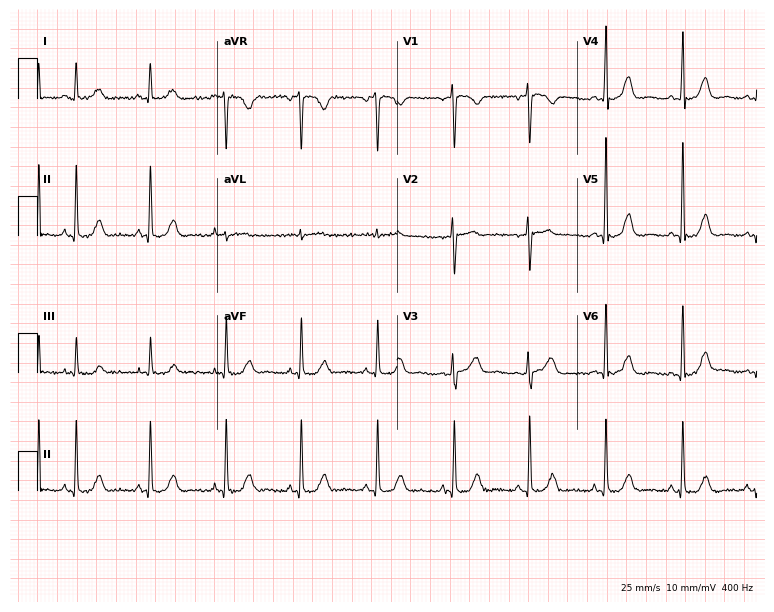
12-lead ECG from a female patient, 77 years old. Recorded interpretation: within normal limits.